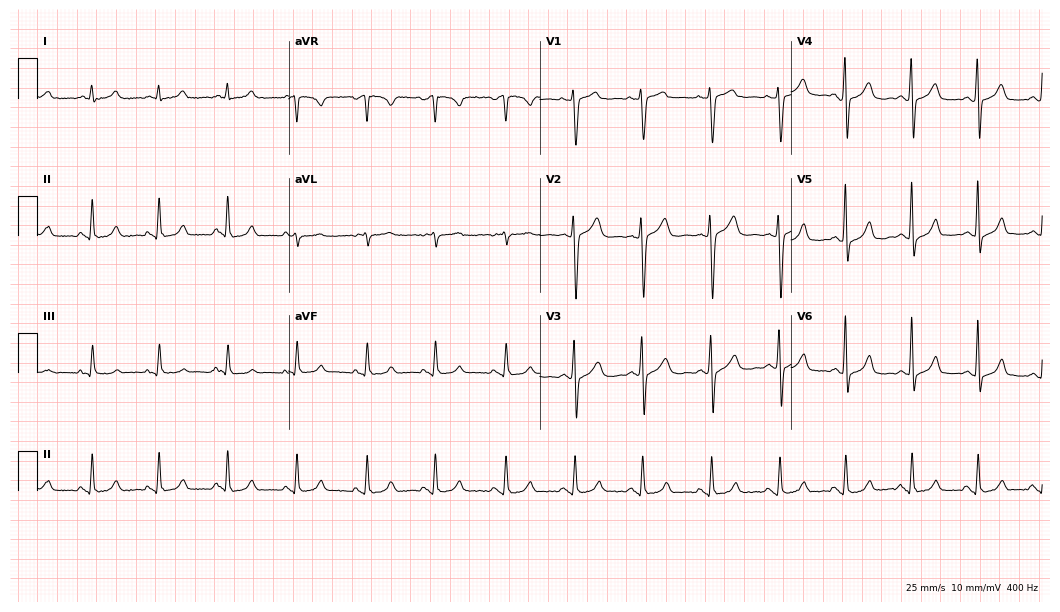
12-lead ECG from a female patient, 45 years old. Screened for six findings — first-degree AV block, right bundle branch block, left bundle branch block, sinus bradycardia, atrial fibrillation, sinus tachycardia — none is recorded. Only these six findings were labelled.